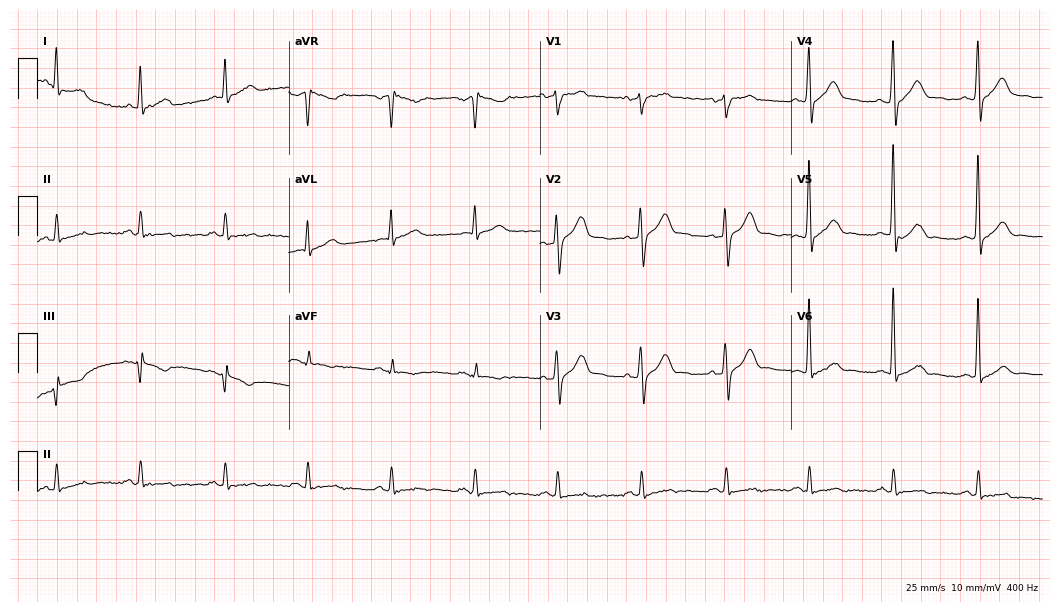
12-lead ECG from a male patient, 59 years old. Screened for six findings — first-degree AV block, right bundle branch block, left bundle branch block, sinus bradycardia, atrial fibrillation, sinus tachycardia — none is recorded.